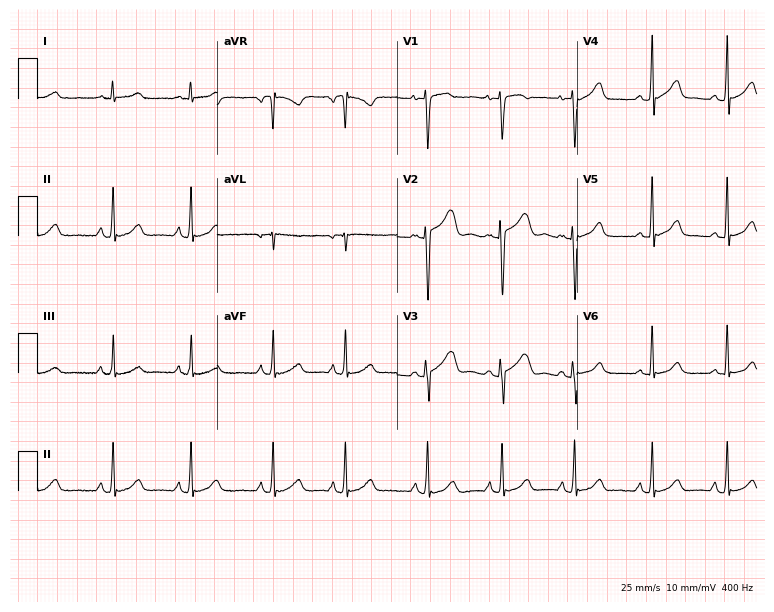
Resting 12-lead electrocardiogram (7.3-second recording at 400 Hz). Patient: a female, 18 years old. None of these six findings is recorded: first-degree AV block, right bundle branch block, left bundle branch block, sinus bradycardia, atrial fibrillation, sinus tachycardia. Findings outside these six are not listed.